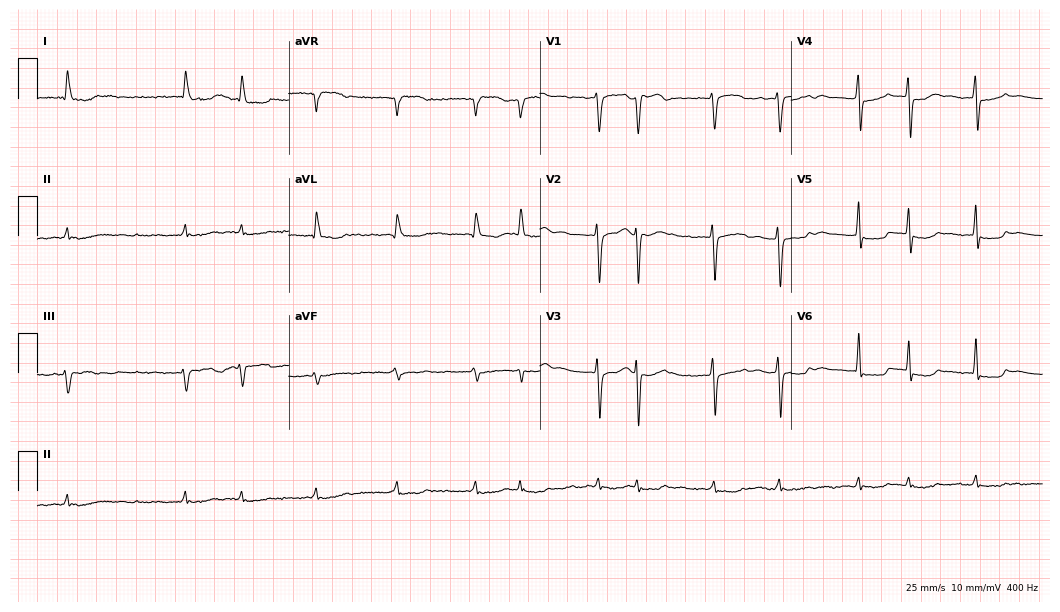
Resting 12-lead electrocardiogram. Patient: a female, 72 years old. The tracing shows atrial fibrillation (AF).